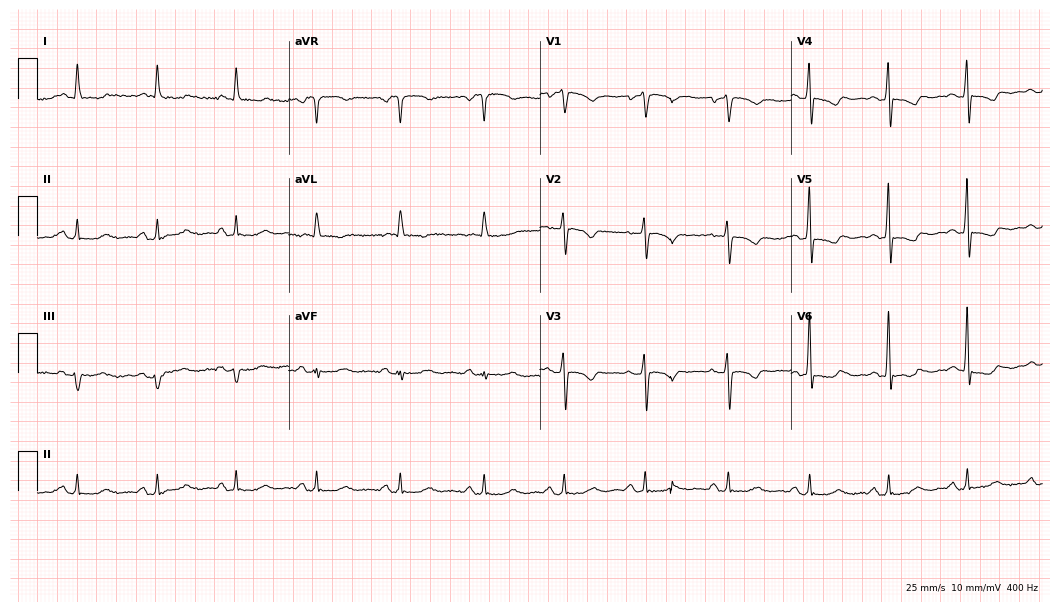
ECG (10.2-second recording at 400 Hz) — a woman, 70 years old. Screened for six findings — first-degree AV block, right bundle branch block, left bundle branch block, sinus bradycardia, atrial fibrillation, sinus tachycardia — none is recorded. Only these six findings were labelled.